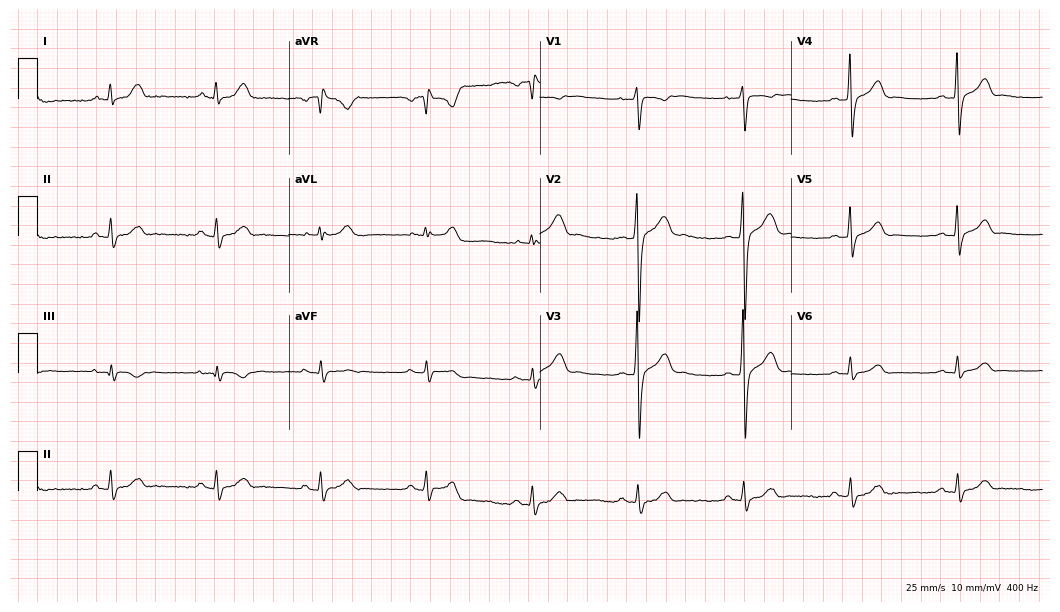
Electrocardiogram, a 24-year-old man. Of the six screened findings (first-degree AV block, right bundle branch block, left bundle branch block, sinus bradycardia, atrial fibrillation, sinus tachycardia), none is recorded.